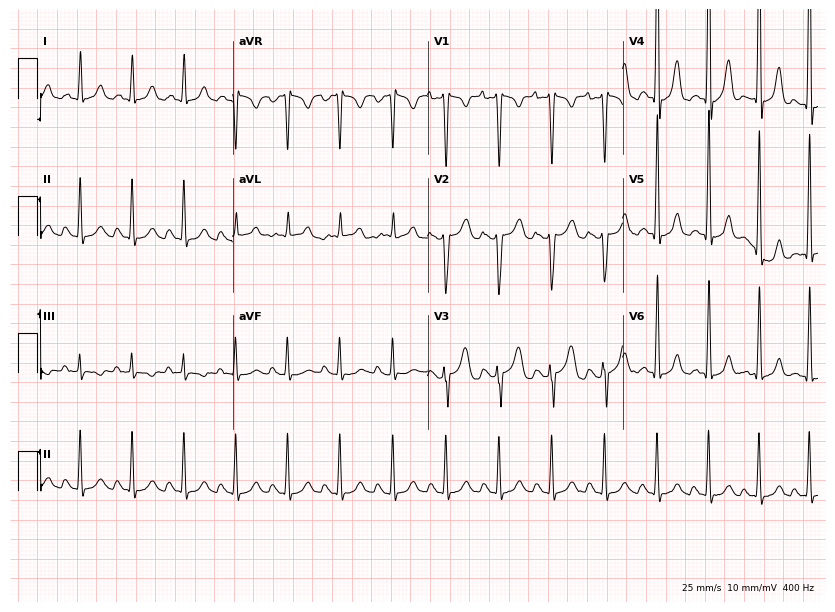
12-lead ECG (8-second recording at 400 Hz) from a 17-year-old woman. Screened for six findings — first-degree AV block, right bundle branch block, left bundle branch block, sinus bradycardia, atrial fibrillation, sinus tachycardia — none is recorded. Only these six findings were labelled.